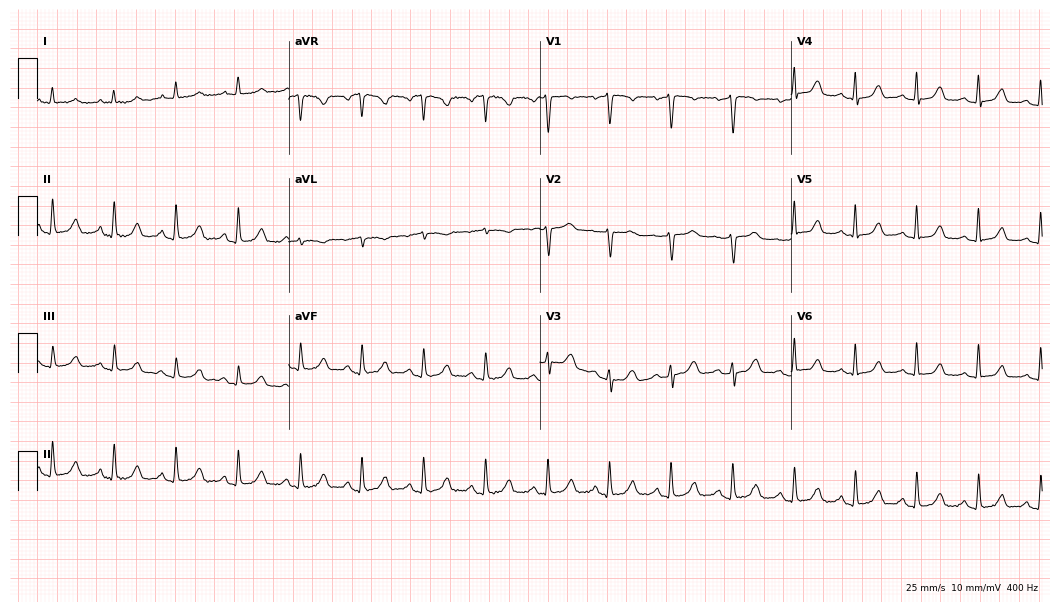
12-lead ECG from a female, 55 years old. No first-degree AV block, right bundle branch block (RBBB), left bundle branch block (LBBB), sinus bradycardia, atrial fibrillation (AF) or sinus tachycardia recorded for this tracing.